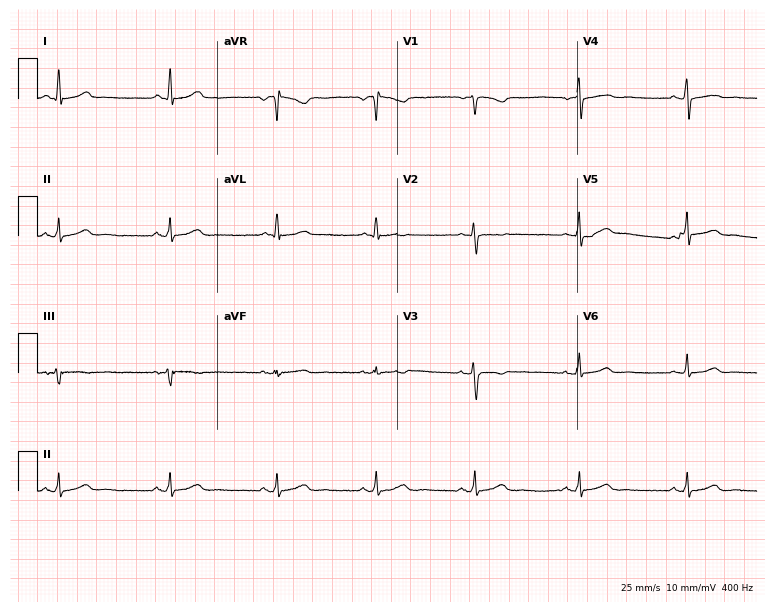
ECG (7.3-second recording at 400 Hz) — a woman, 45 years old. Labelled as a normal ECG.